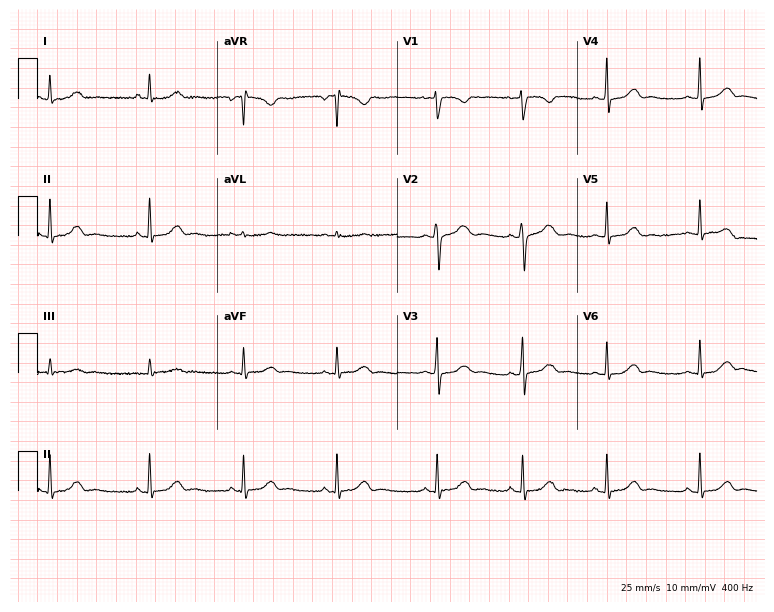
12-lead ECG from a female patient, 20 years old. Screened for six findings — first-degree AV block, right bundle branch block, left bundle branch block, sinus bradycardia, atrial fibrillation, sinus tachycardia — none is recorded.